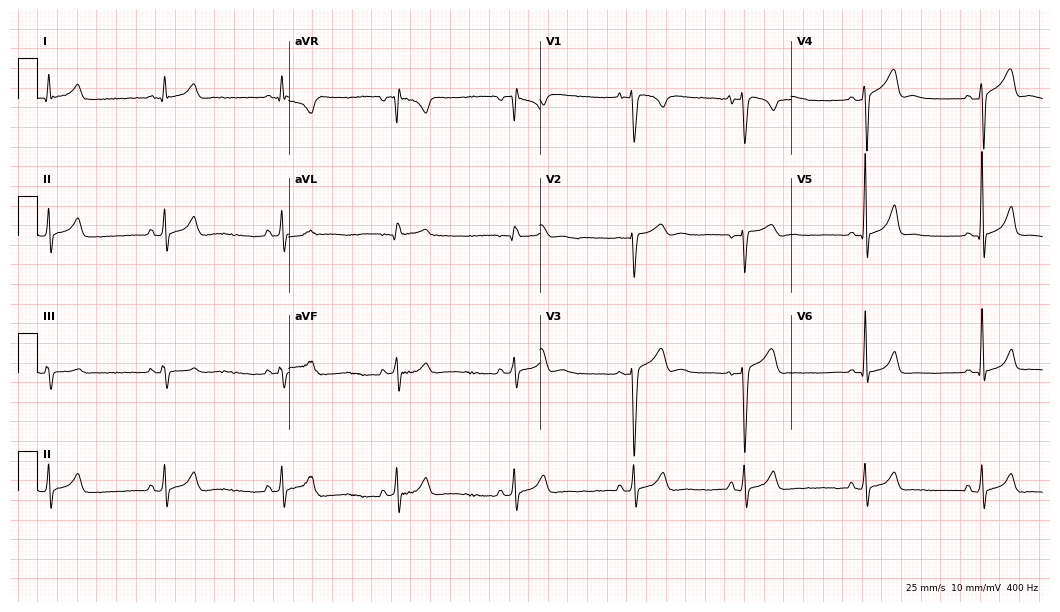
ECG (10.2-second recording at 400 Hz) — a male patient, 19 years old. Findings include sinus bradycardia (a sinus rate of 50 beats per minute or less).